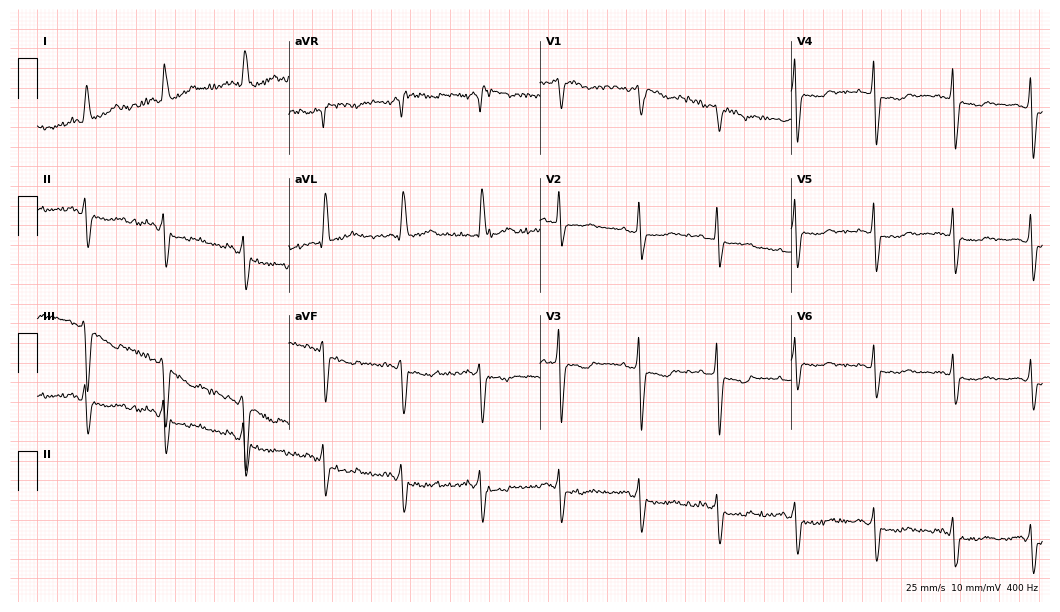
Electrocardiogram (10.2-second recording at 400 Hz), a 52-year-old female. Of the six screened findings (first-degree AV block, right bundle branch block (RBBB), left bundle branch block (LBBB), sinus bradycardia, atrial fibrillation (AF), sinus tachycardia), none is recorded. Findings outside these six are not listed.